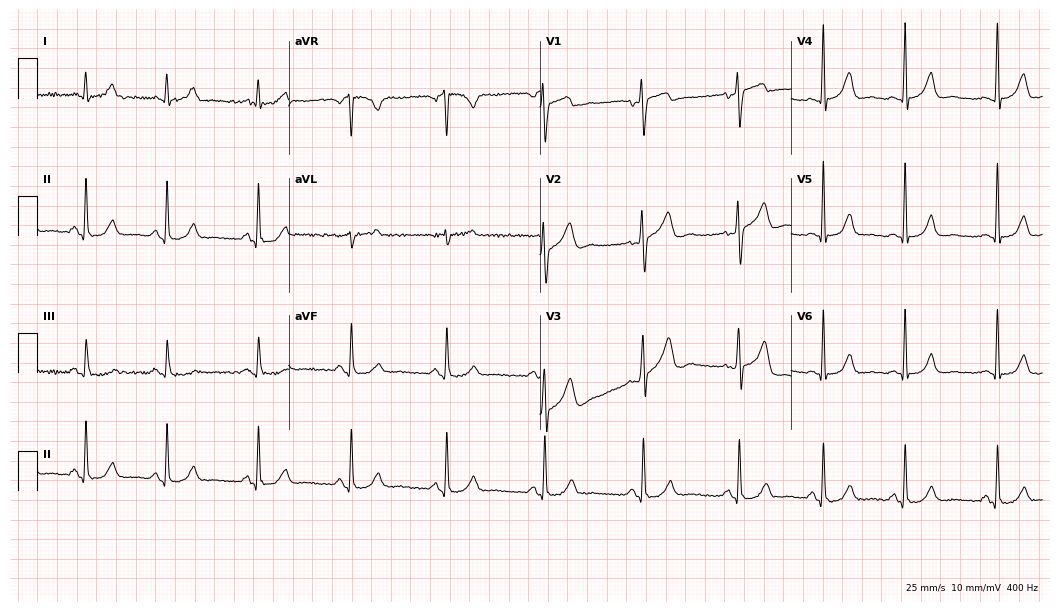
12-lead ECG from a male patient, 51 years old. Labelled as a normal ECG.